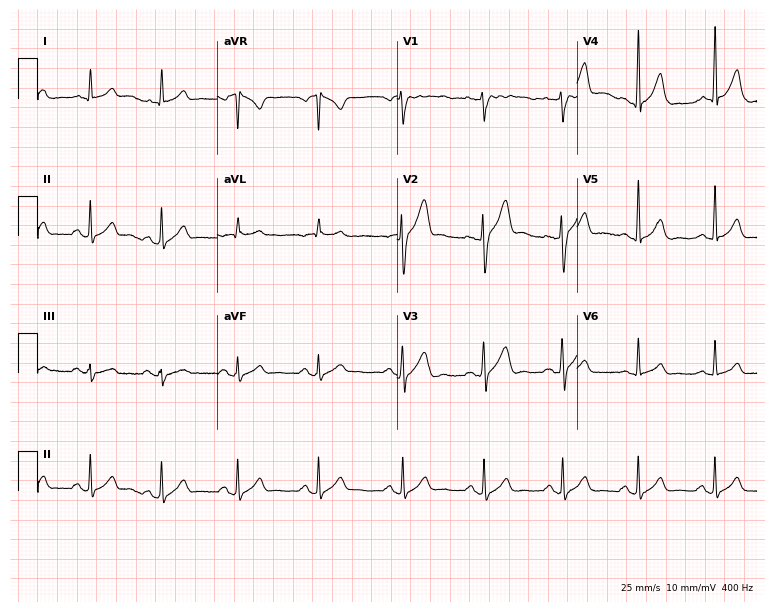
12-lead ECG (7.3-second recording at 400 Hz) from a 33-year-old man. Labelled as a normal ECG.